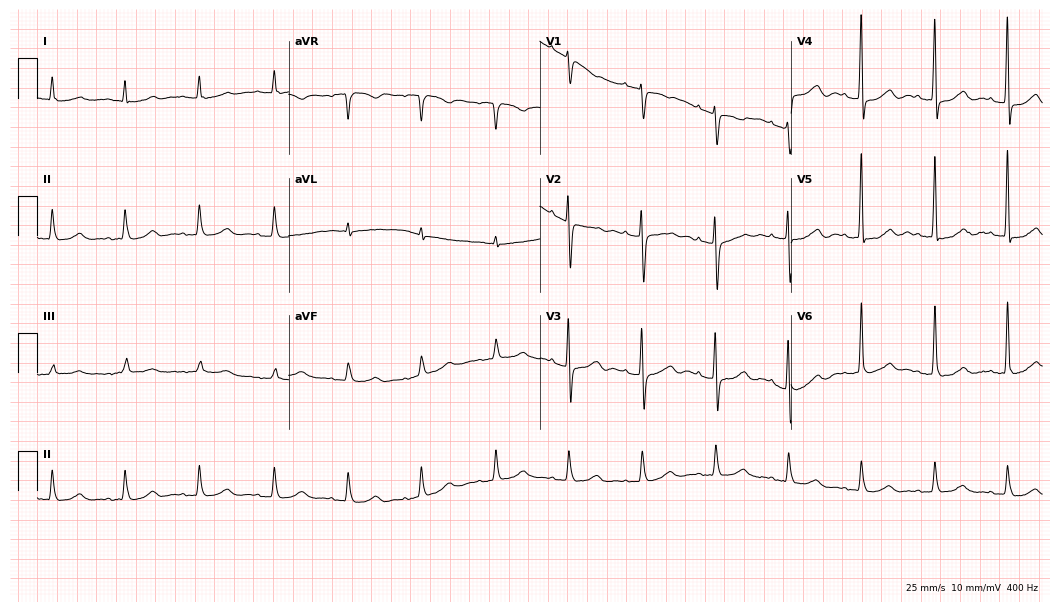
12-lead ECG from a 57-year-old female. No first-degree AV block, right bundle branch block, left bundle branch block, sinus bradycardia, atrial fibrillation or sinus tachycardia recorded for this tracing. Only these six findings were labelled.